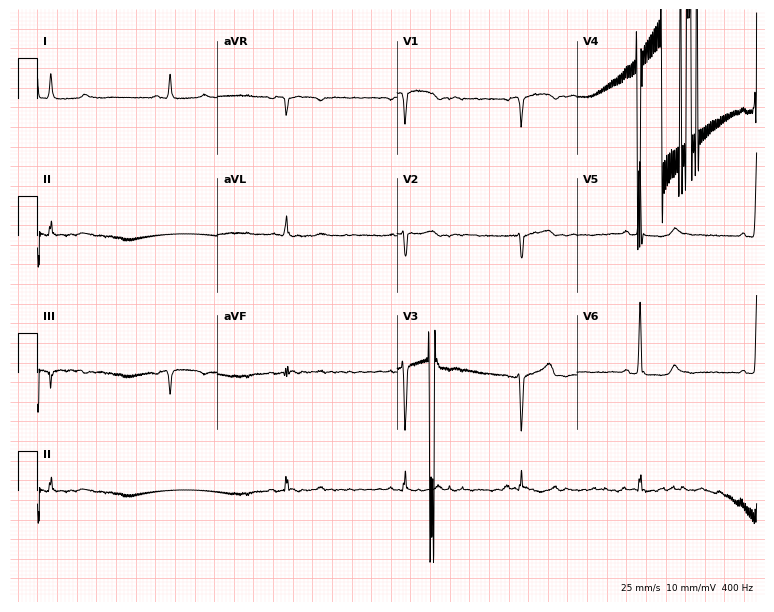
Electrocardiogram, a male patient, 76 years old. Of the six screened findings (first-degree AV block, right bundle branch block, left bundle branch block, sinus bradycardia, atrial fibrillation, sinus tachycardia), none is recorded. Other findings, if any, are not listed.